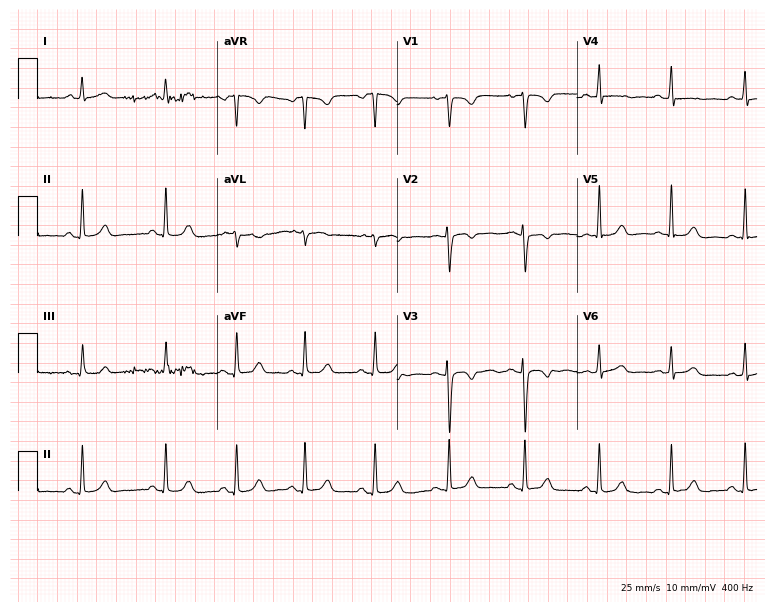
Resting 12-lead electrocardiogram (7.3-second recording at 400 Hz). Patient: a female, 24 years old. Read as a normal ECG.